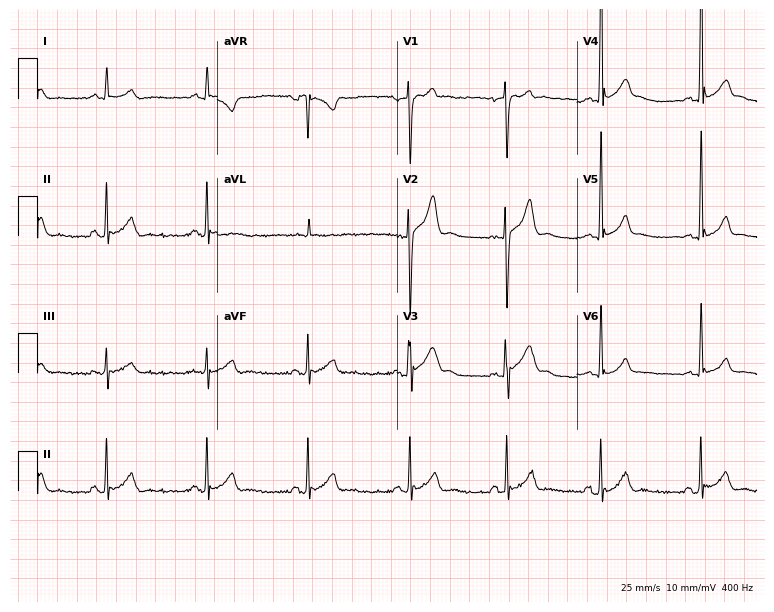
Electrocardiogram (7.3-second recording at 400 Hz), a male, 18 years old. Overall reading on record: normal ECG.